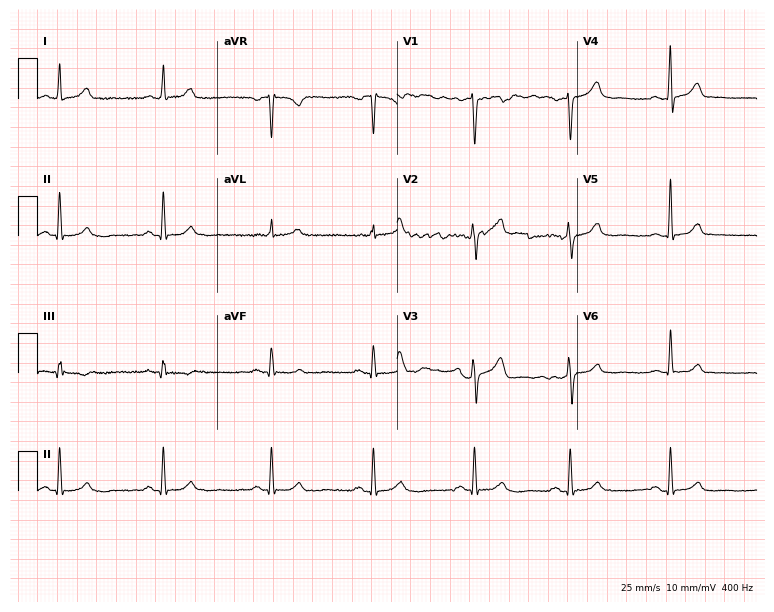
ECG — a male, 55 years old. Screened for six findings — first-degree AV block, right bundle branch block, left bundle branch block, sinus bradycardia, atrial fibrillation, sinus tachycardia — none is recorded. Other findings, if any, are not listed.